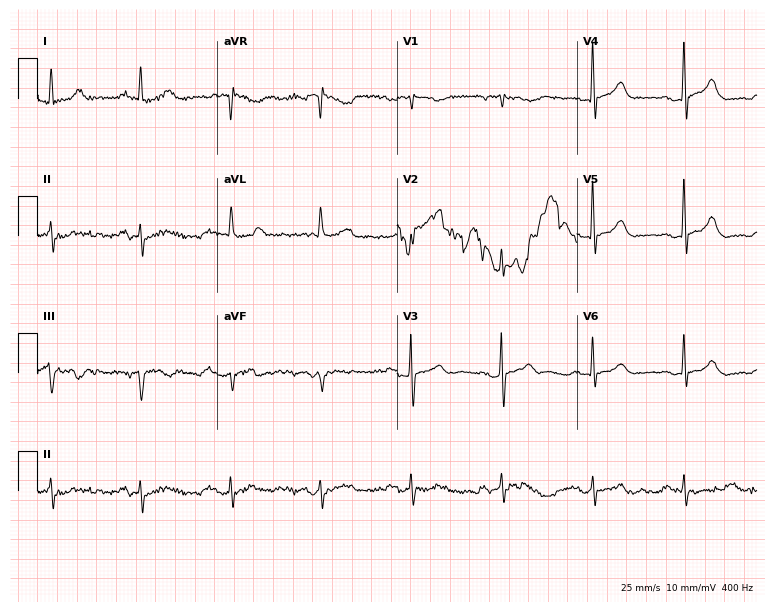
Electrocardiogram, a female, 79 years old. Of the six screened findings (first-degree AV block, right bundle branch block (RBBB), left bundle branch block (LBBB), sinus bradycardia, atrial fibrillation (AF), sinus tachycardia), none is recorded. Other findings, if any, are not listed.